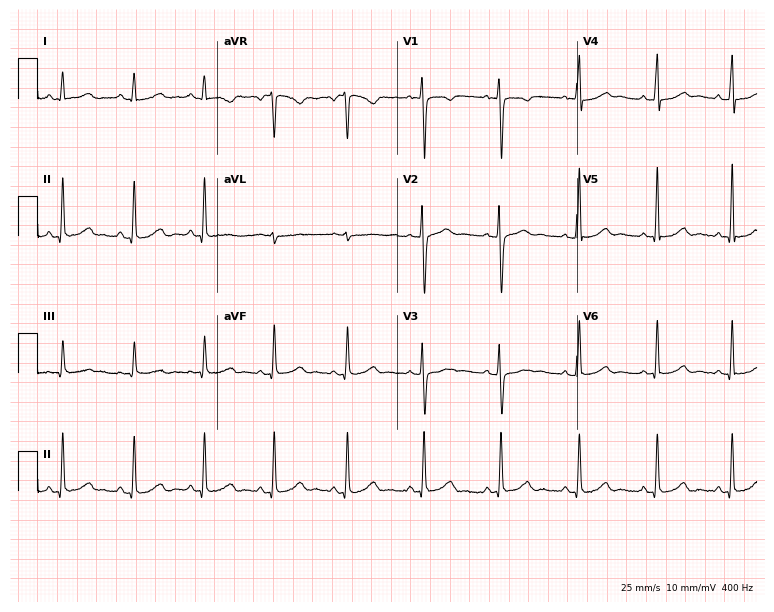
Resting 12-lead electrocardiogram (7.3-second recording at 400 Hz). Patient: a 42-year-old female. Read as a normal ECG.